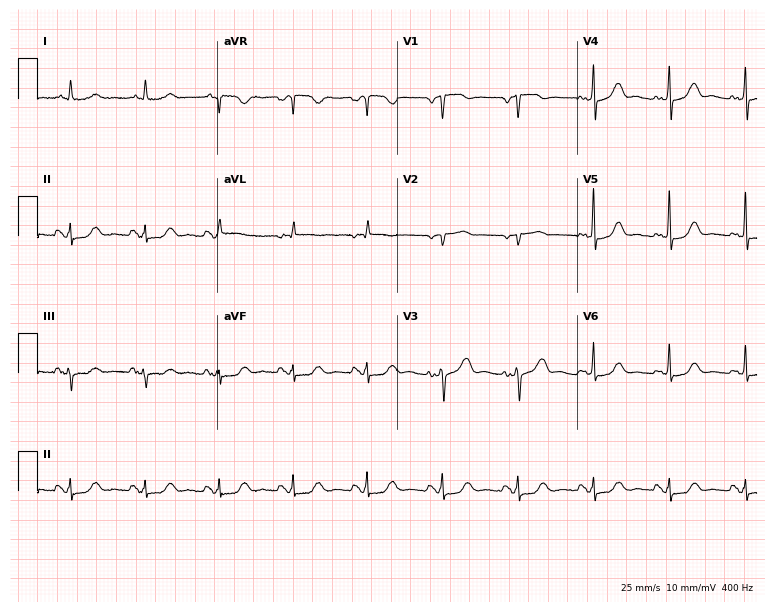
Resting 12-lead electrocardiogram. Patient: a woman, 81 years old. Read as a normal ECG.